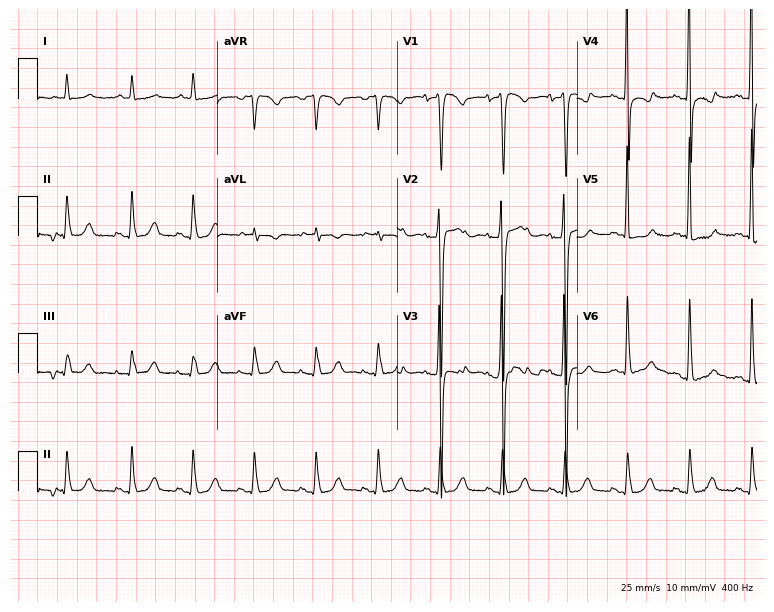
Electrocardiogram, a woman, 84 years old. Of the six screened findings (first-degree AV block, right bundle branch block, left bundle branch block, sinus bradycardia, atrial fibrillation, sinus tachycardia), none is recorded.